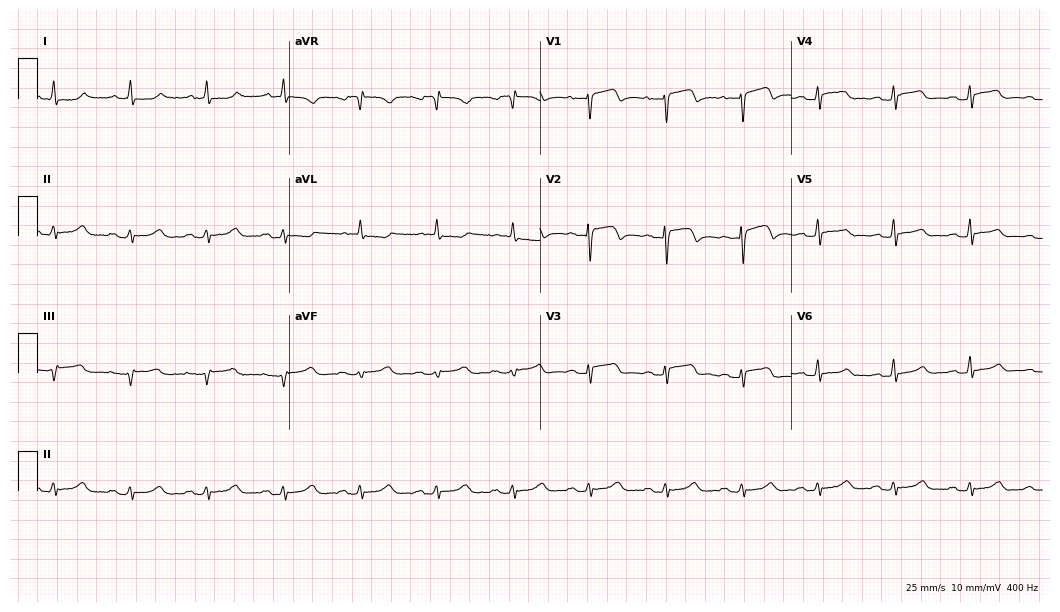
Electrocardiogram, a 76-year-old female patient. Of the six screened findings (first-degree AV block, right bundle branch block (RBBB), left bundle branch block (LBBB), sinus bradycardia, atrial fibrillation (AF), sinus tachycardia), none is recorded.